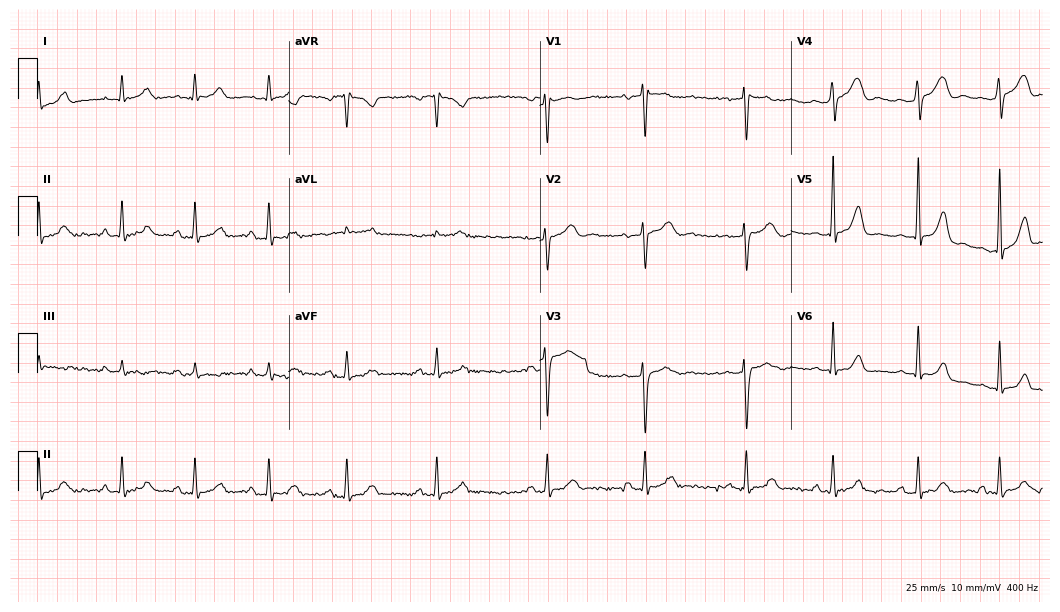
ECG (10.2-second recording at 400 Hz) — a female patient, 31 years old. Labelled as a normal ECG.